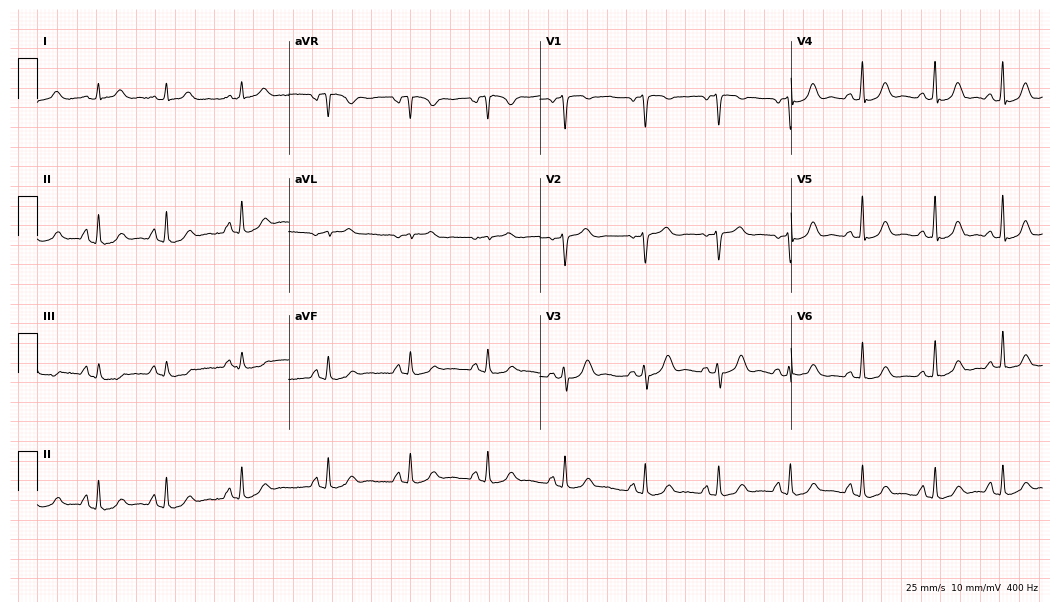
Standard 12-lead ECG recorded from a female, 39 years old (10.2-second recording at 400 Hz). Read as a normal ECG.